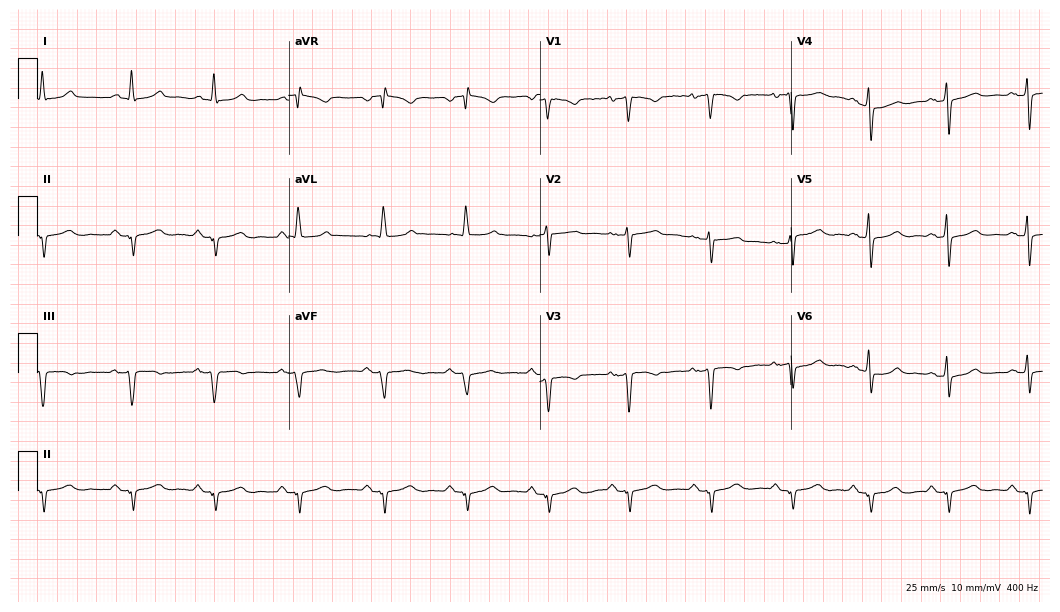
12-lead ECG from a 57-year-old female patient (10.2-second recording at 400 Hz). No first-degree AV block, right bundle branch block (RBBB), left bundle branch block (LBBB), sinus bradycardia, atrial fibrillation (AF) or sinus tachycardia recorded for this tracing.